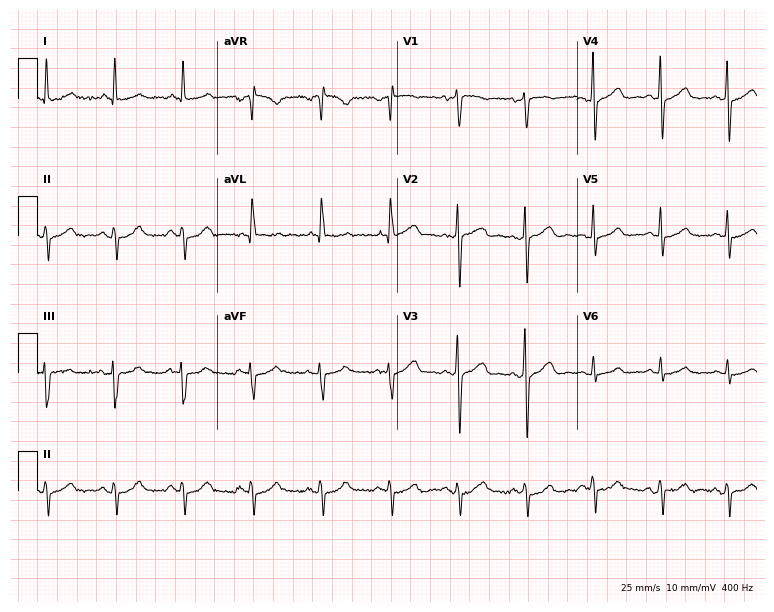
Electrocardiogram, a female patient, 69 years old. Of the six screened findings (first-degree AV block, right bundle branch block, left bundle branch block, sinus bradycardia, atrial fibrillation, sinus tachycardia), none is recorded. Other findings, if any, are not listed.